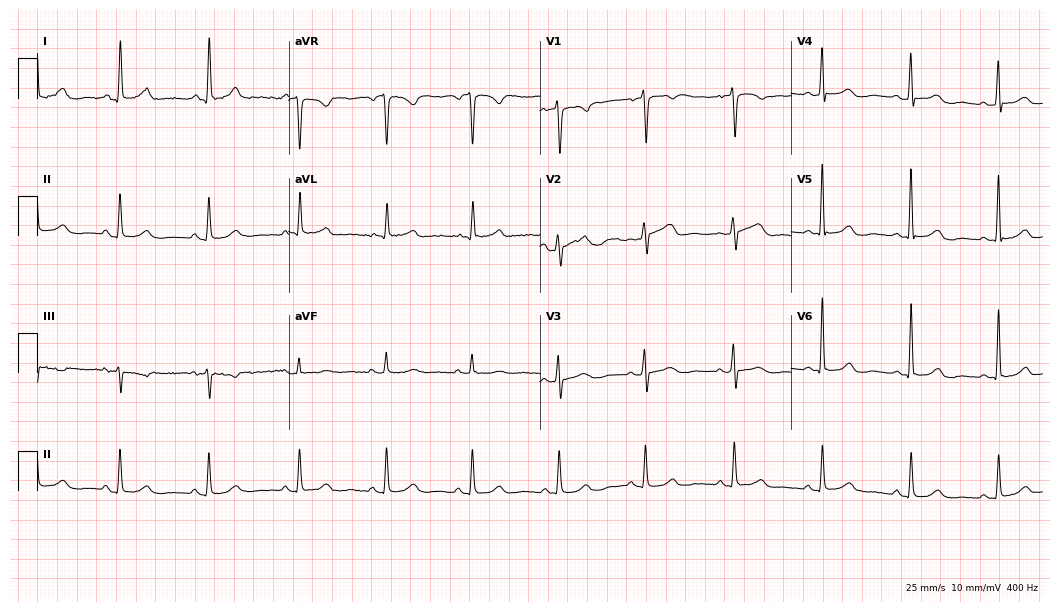
12-lead ECG from a female patient, 79 years old (10.2-second recording at 400 Hz). Recorded interpretation: within normal limits.